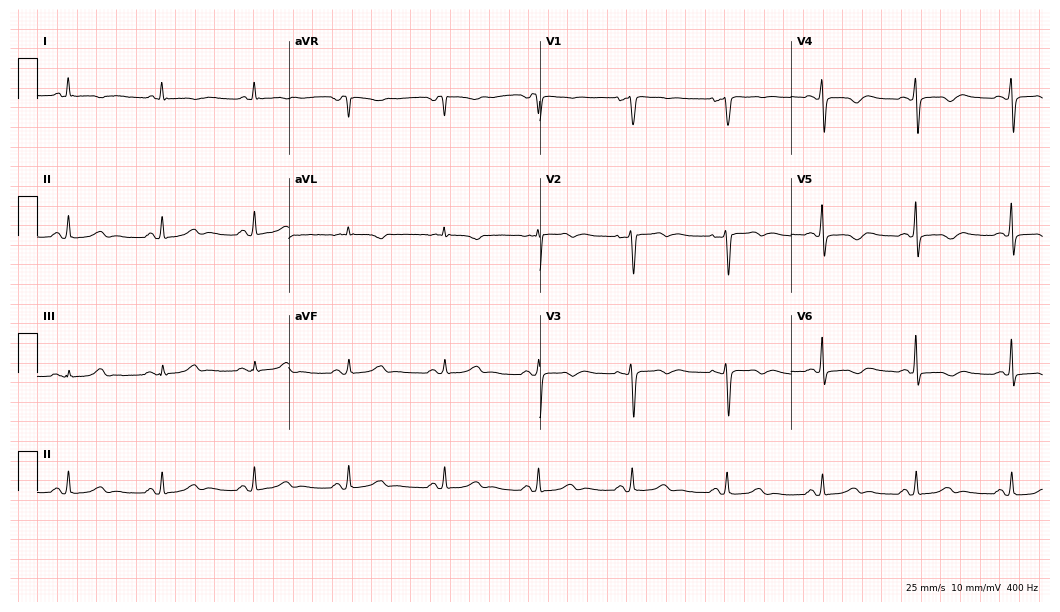
Resting 12-lead electrocardiogram. Patient: a female, 54 years old. None of these six findings is recorded: first-degree AV block, right bundle branch block, left bundle branch block, sinus bradycardia, atrial fibrillation, sinus tachycardia. Other findings, if any, are not listed.